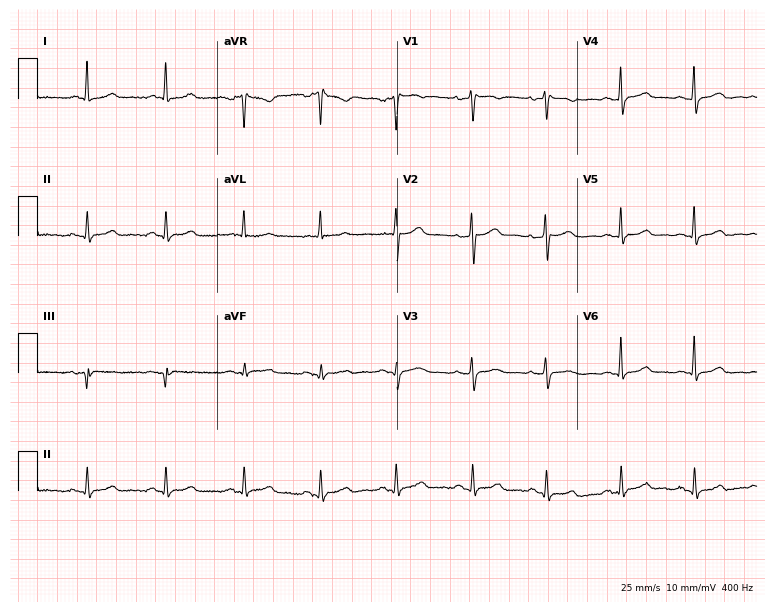
Electrocardiogram (7.3-second recording at 400 Hz), a female, 69 years old. Of the six screened findings (first-degree AV block, right bundle branch block (RBBB), left bundle branch block (LBBB), sinus bradycardia, atrial fibrillation (AF), sinus tachycardia), none is recorded. Findings outside these six are not listed.